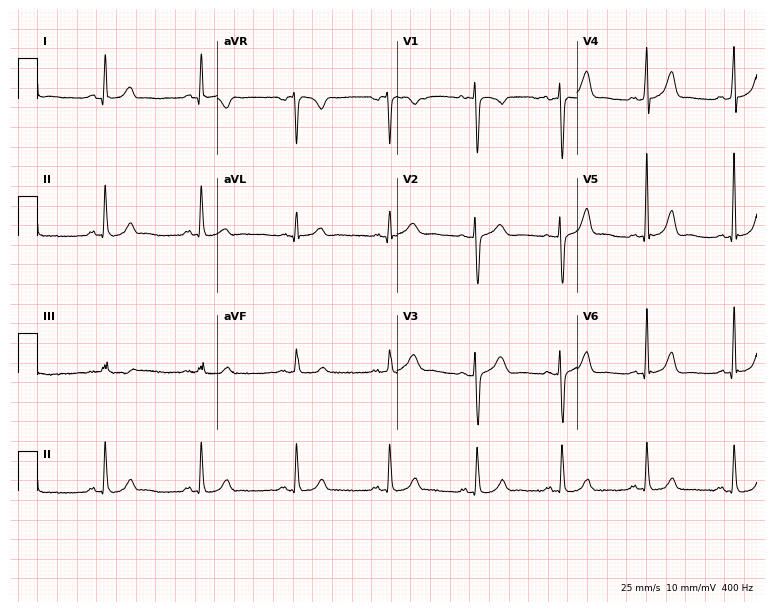
12-lead ECG (7.3-second recording at 400 Hz) from a woman, 35 years old. Labelled as a normal ECG.